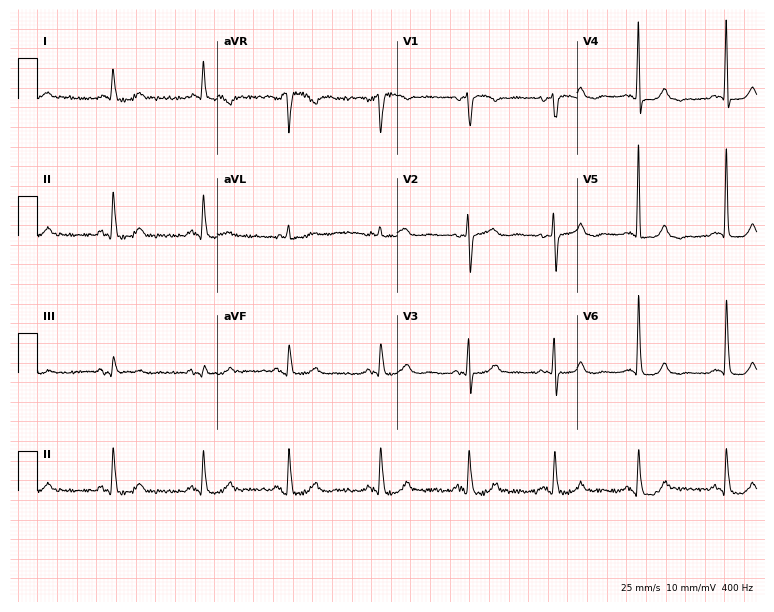
Standard 12-lead ECG recorded from a 78-year-old woman (7.3-second recording at 400 Hz). None of these six findings is recorded: first-degree AV block, right bundle branch block, left bundle branch block, sinus bradycardia, atrial fibrillation, sinus tachycardia. Only these six findings were labelled.